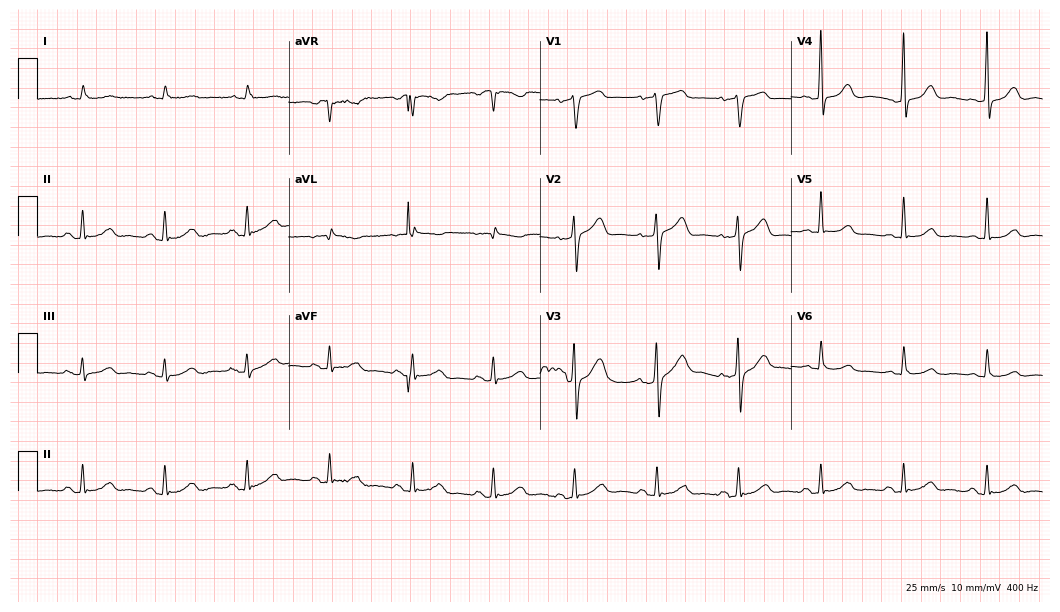
Resting 12-lead electrocardiogram. Patient: a 79-year-old male. None of these six findings is recorded: first-degree AV block, right bundle branch block (RBBB), left bundle branch block (LBBB), sinus bradycardia, atrial fibrillation (AF), sinus tachycardia. Other findings, if any, are not listed.